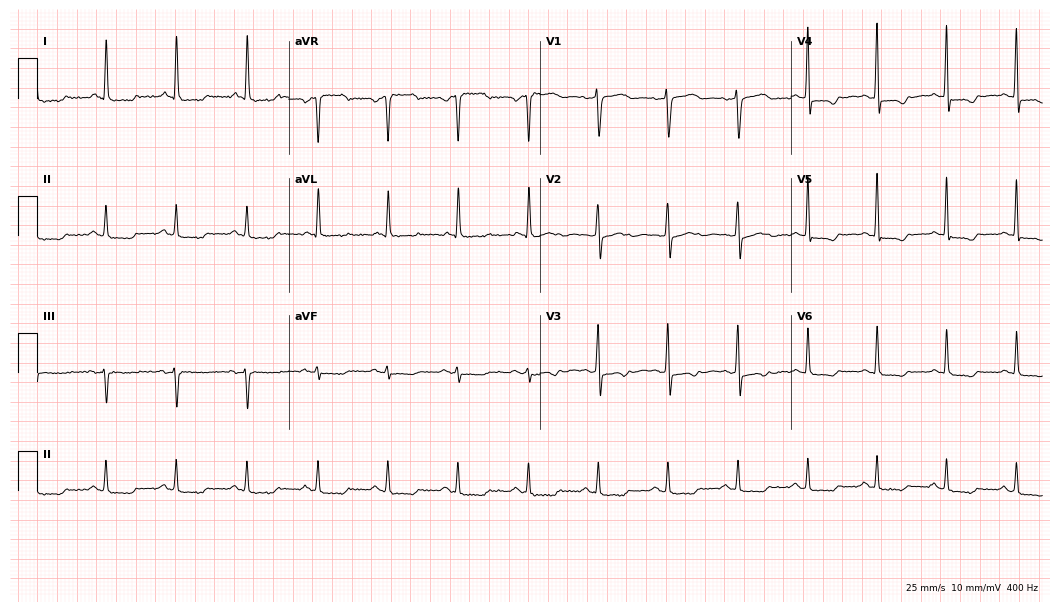
Resting 12-lead electrocardiogram. Patient: a woman, 84 years old. None of these six findings is recorded: first-degree AV block, right bundle branch block, left bundle branch block, sinus bradycardia, atrial fibrillation, sinus tachycardia.